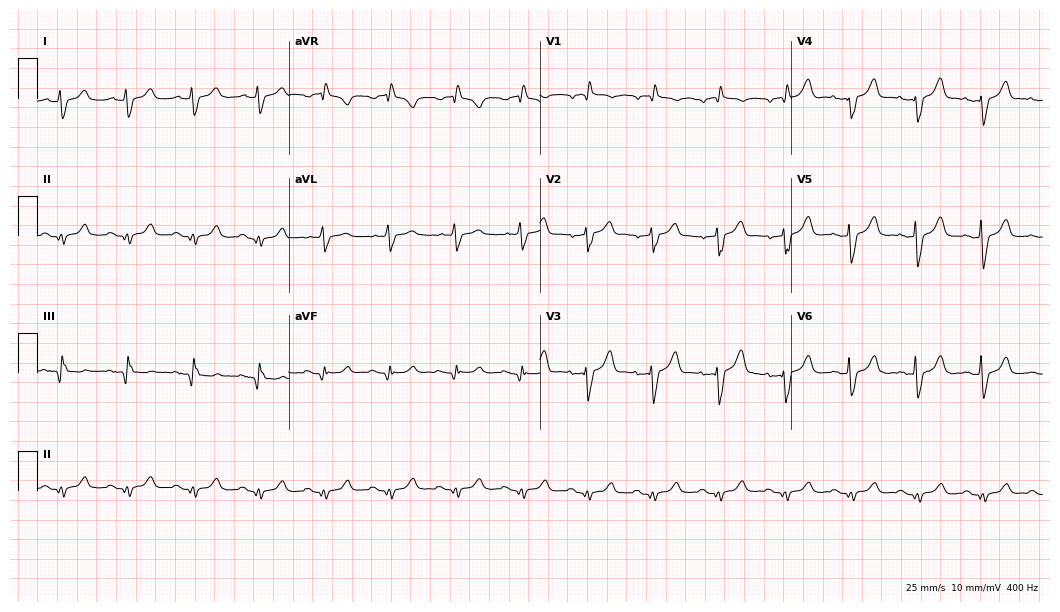
12-lead ECG from a male, 65 years old. No first-degree AV block, right bundle branch block, left bundle branch block, sinus bradycardia, atrial fibrillation or sinus tachycardia recorded for this tracing. Only these six findings were labelled.